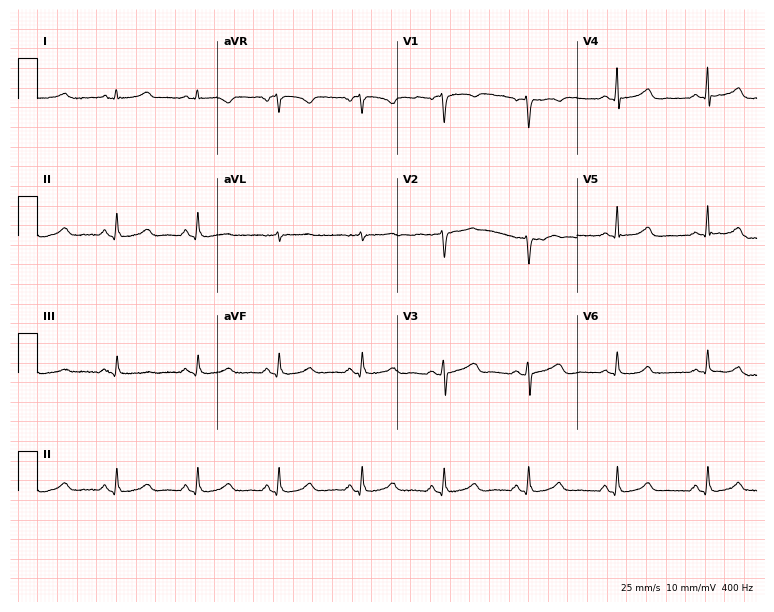
12-lead ECG (7.3-second recording at 400 Hz) from a female, 45 years old. Labelled as a normal ECG.